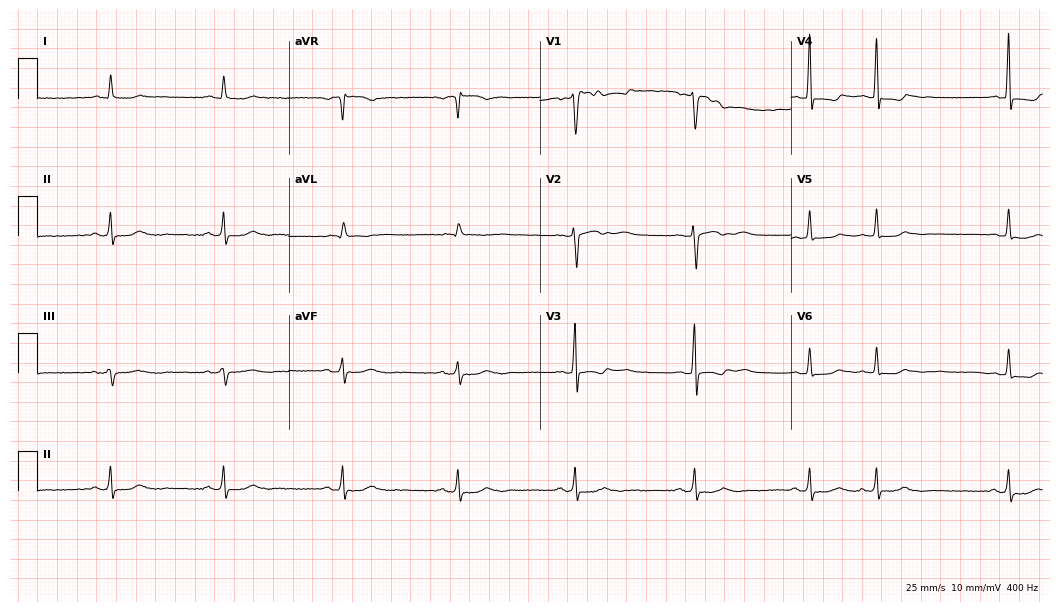
12-lead ECG (10.2-second recording at 400 Hz) from an 80-year-old woman. Screened for six findings — first-degree AV block, right bundle branch block, left bundle branch block, sinus bradycardia, atrial fibrillation, sinus tachycardia — none is recorded. Findings outside these six are not listed.